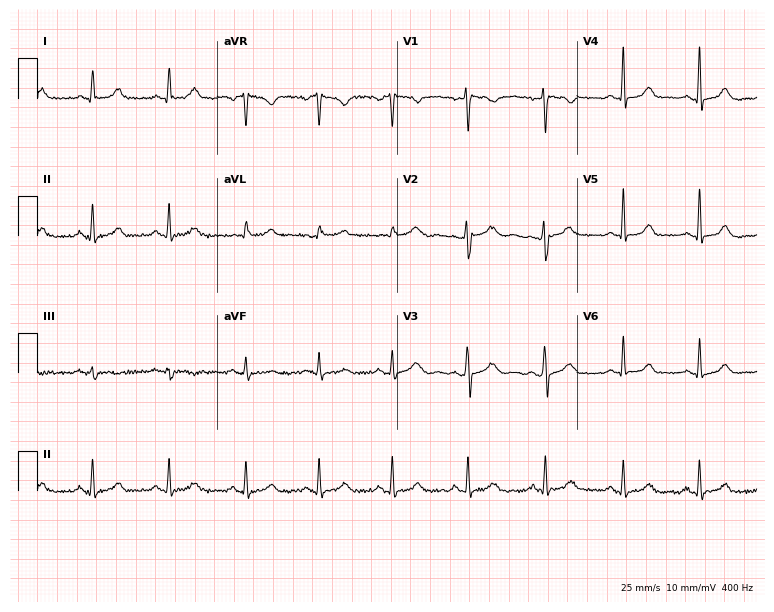
Electrocardiogram (7.3-second recording at 400 Hz), a 35-year-old female. Overall reading on record: normal ECG.